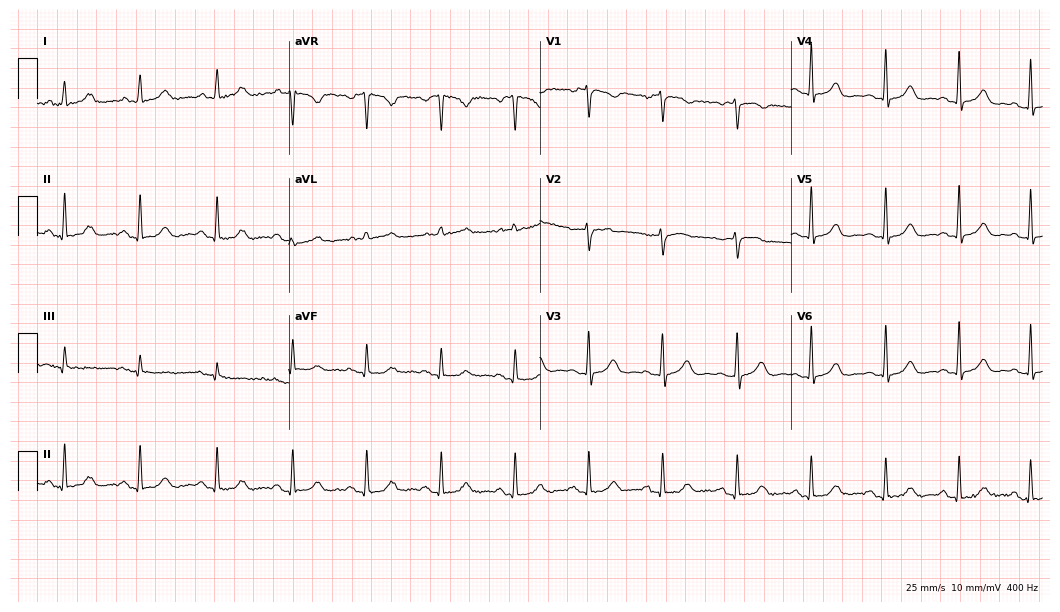
12-lead ECG from a woman, 69 years old (10.2-second recording at 400 Hz). Recorded interpretation: within normal limits.